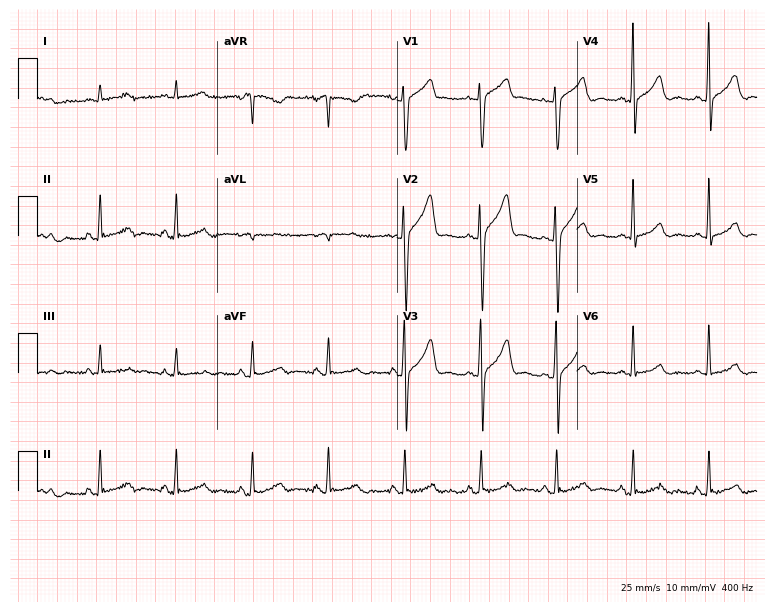
ECG (7.3-second recording at 400 Hz) — a male, 43 years old. Labelled as a normal ECG.